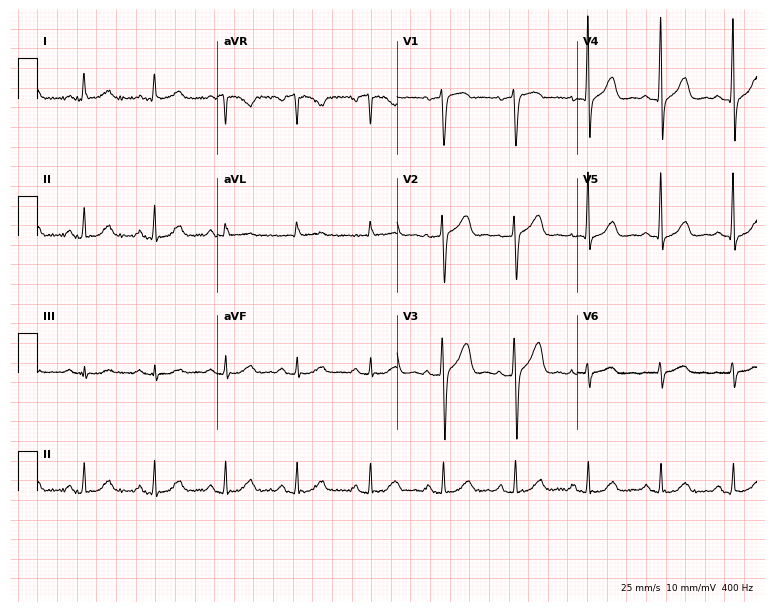
ECG — a woman, 65 years old. Screened for six findings — first-degree AV block, right bundle branch block, left bundle branch block, sinus bradycardia, atrial fibrillation, sinus tachycardia — none is recorded.